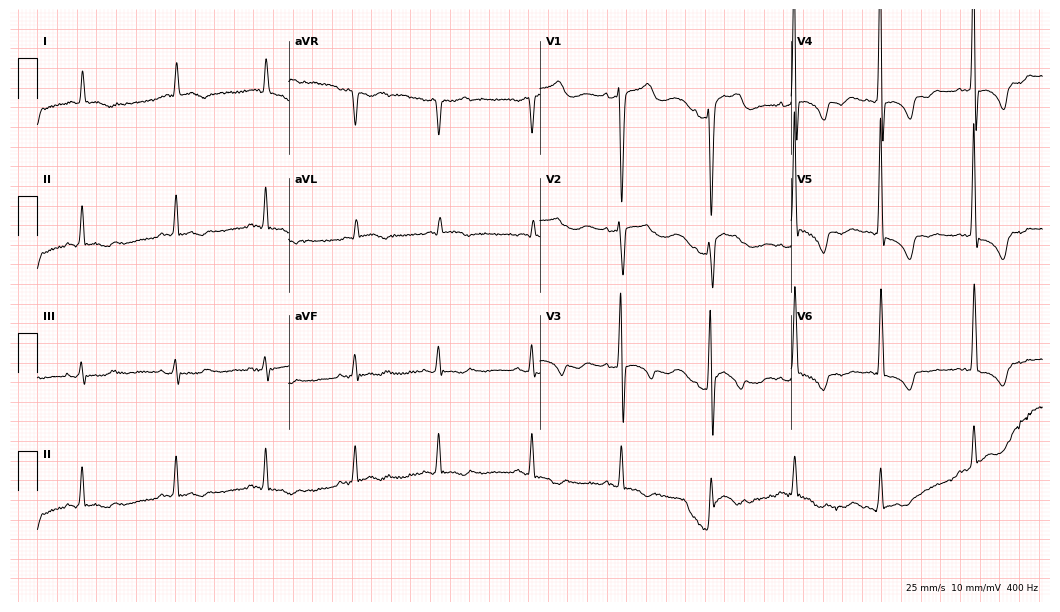
Resting 12-lead electrocardiogram (10.2-second recording at 400 Hz). Patient: an 81-year-old female. None of these six findings is recorded: first-degree AV block, right bundle branch block, left bundle branch block, sinus bradycardia, atrial fibrillation, sinus tachycardia.